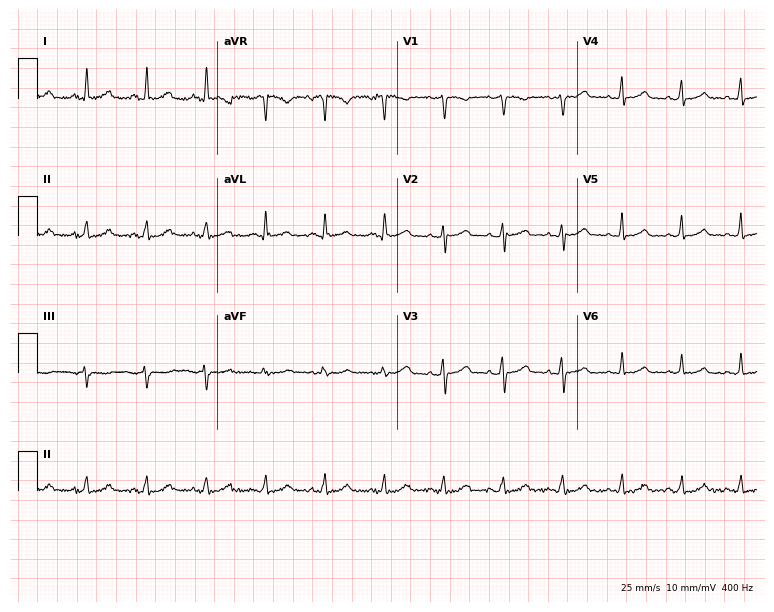
ECG — a 44-year-old female patient. Labelled as a normal ECG.